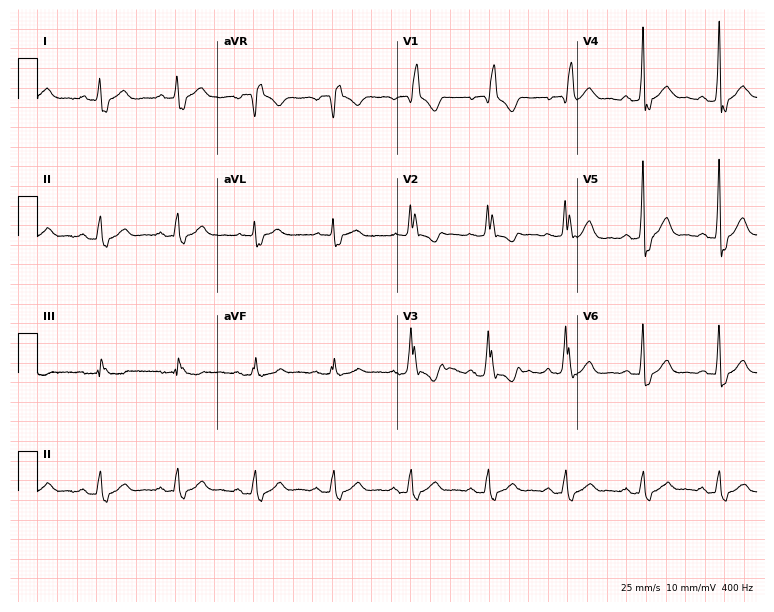
ECG (7.3-second recording at 400 Hz) — a male patient, 73 years old. Findings include right bundle branch block.